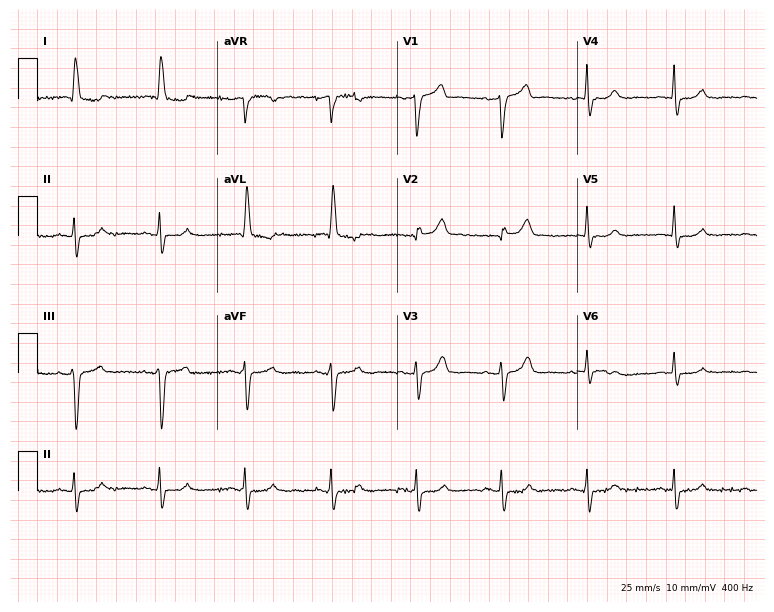
Resting 12-lead electrocardiogram (7.3-second recording at 400 Hz). Patient: a female, 83 years old. None of these six findings is recorded: first-degree AV block, right bundle branch block, left bundle branch block, sinus bradycardia, atrial fibrillation, sinus tachycardia. Other findings, if any, are not listed.